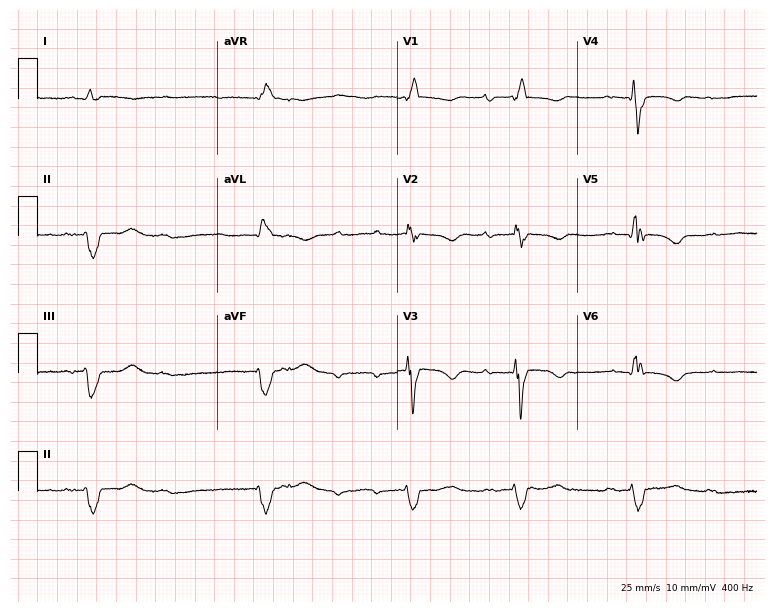
Electrocardiogram (7.3-second recording at 400 Hz), a male, 56 years old. Of the six screened findings (first-degree AV block, right bundle branch block, left bundle branch block, sinus bradycardia, atrial fibrillation, sinus tachycardia), none is recorded. Findings outside these six are not listed.